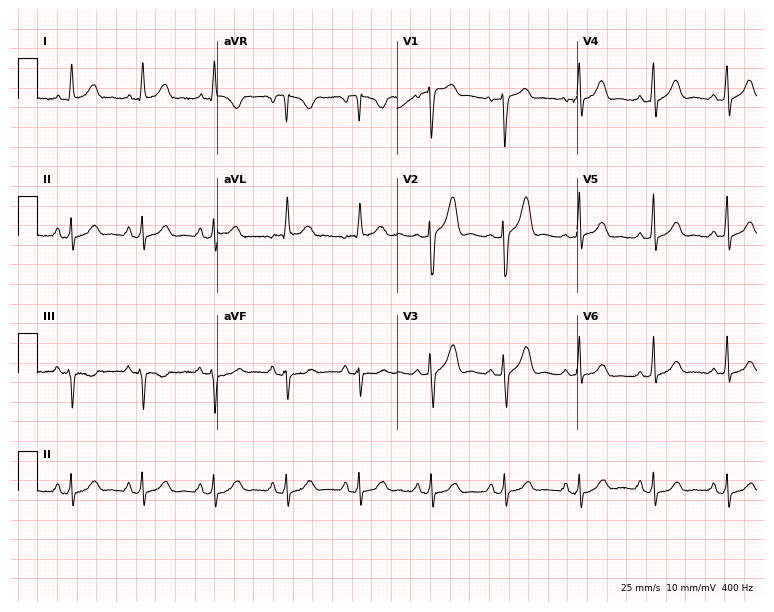
12-lead ECG (7.3-second recording at 400 Hz) from a 67-year-old male patient. Labelled as a normal ECG.